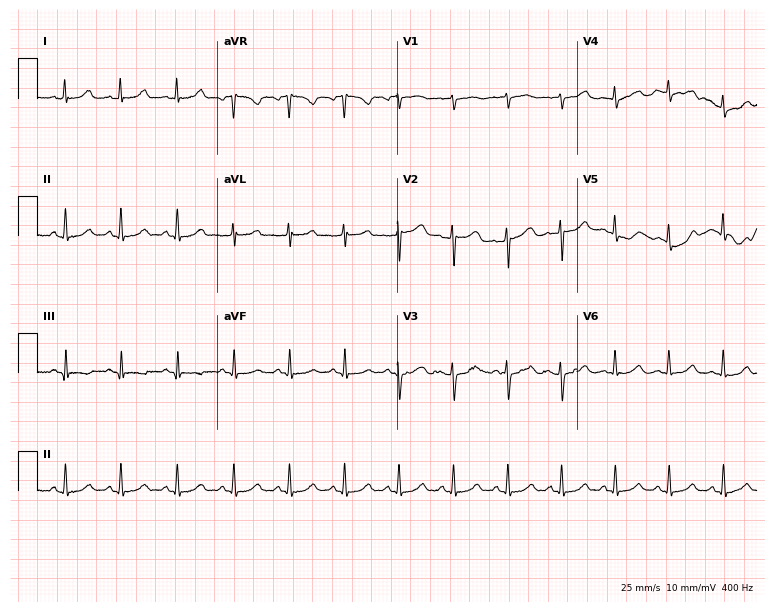
Electrocardiogram (7.3-second recording at 400 Hz), a 41-year-old female. Of the six screened findings (first-degree AV block, right bundle branch block, left bundle branch block, sinus bradycardia, atrial fibrillation, sinus tachycardia), none is recorded. Other findings, if any, are not listed.